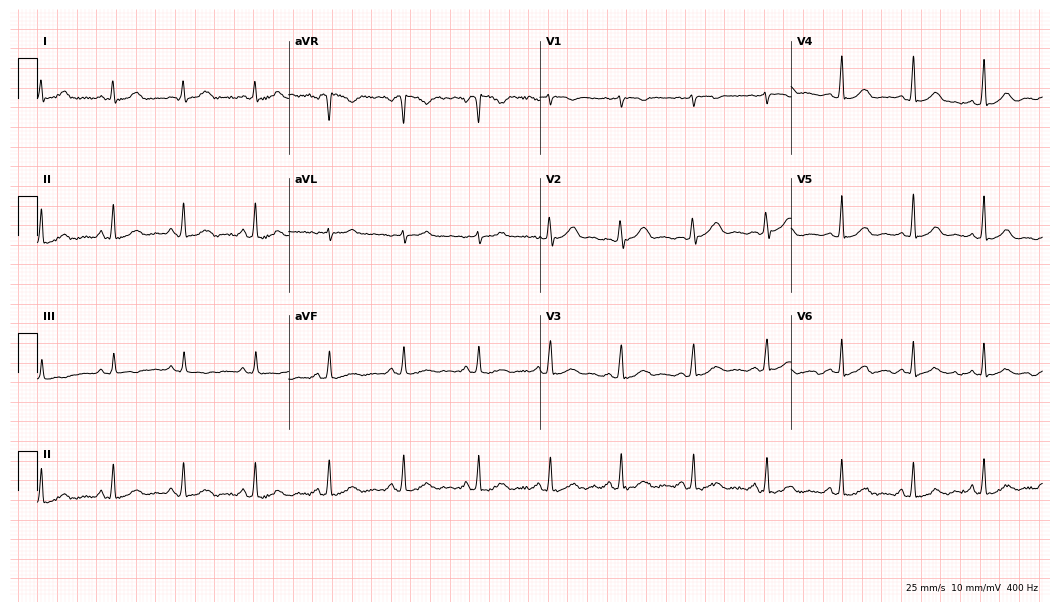
ECG — a female, 24 years old. Labelled as a normal ECG.